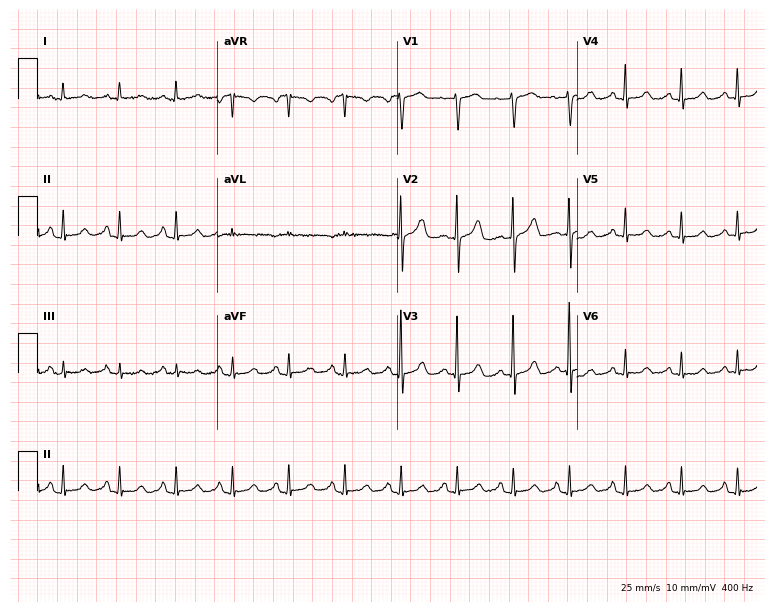
Electrocardiogram (7.3-second recording at 400 Hz), a female patient, 60 years old. Interpretation includes sinus tachycardia (a sinus rate of 100 beats per minute or more).